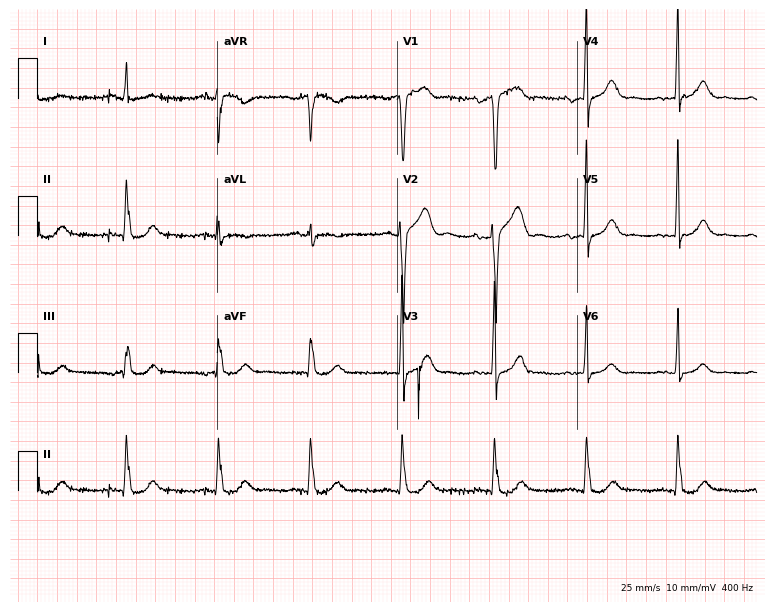
Electrocardiogram, a man, 63 years old. Of the six screened findings (first-degree AV block, right bundle branch block, left bundle branch block, sinus bradycardia, atrial fibrillation, sinus tachycardia), none is recorded. Other findings, if any, are not listed.